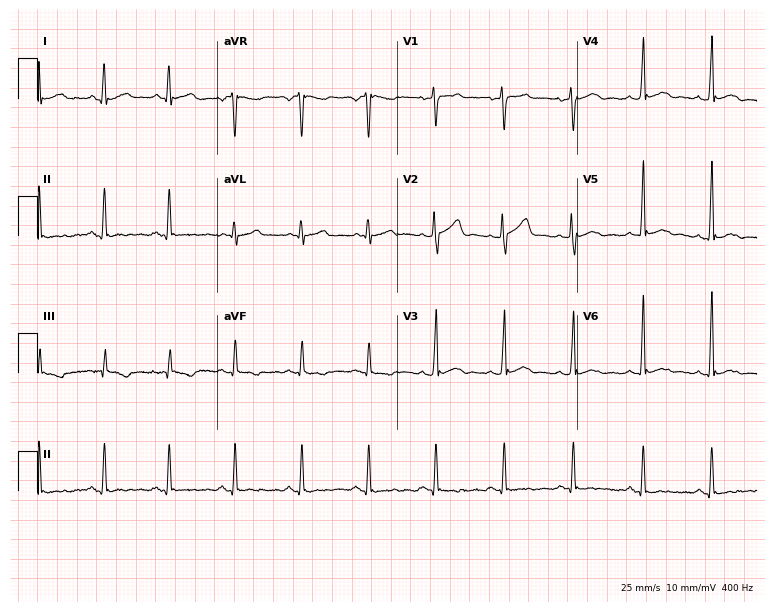
12-lead ECG from a man, 41 years old. No first-degree AV block, right bundle branch block, left bundle branch block, sinus bradycardia, atrial fibrillation or sinus tachycardia recorded for this tracing. Only these six findings were labelled.